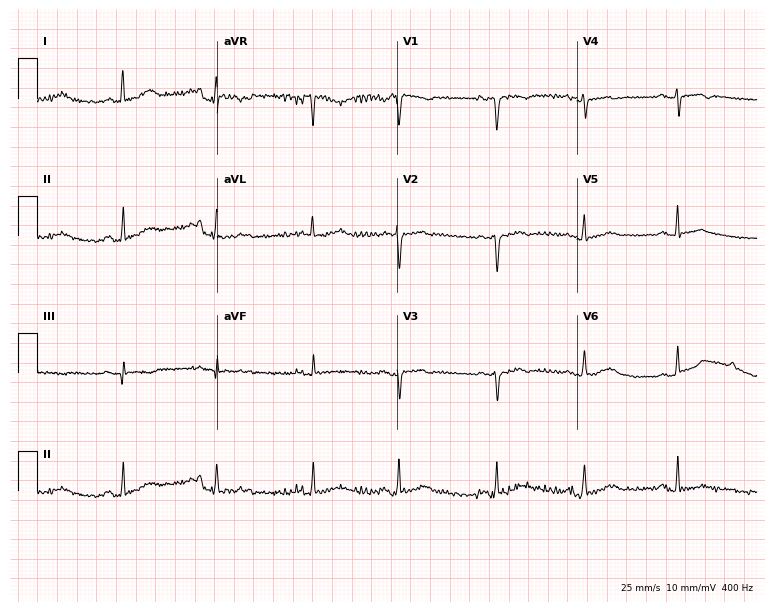
12-lead ECG from a female patient, 72 years old. Screened for six findings — first-degree AV block, right bundle branch block, left bundle branch block, sinus bradycardia, atrial fibrillation, sinus tachycardia — none is recorded. Other findings, if any, are not listed.